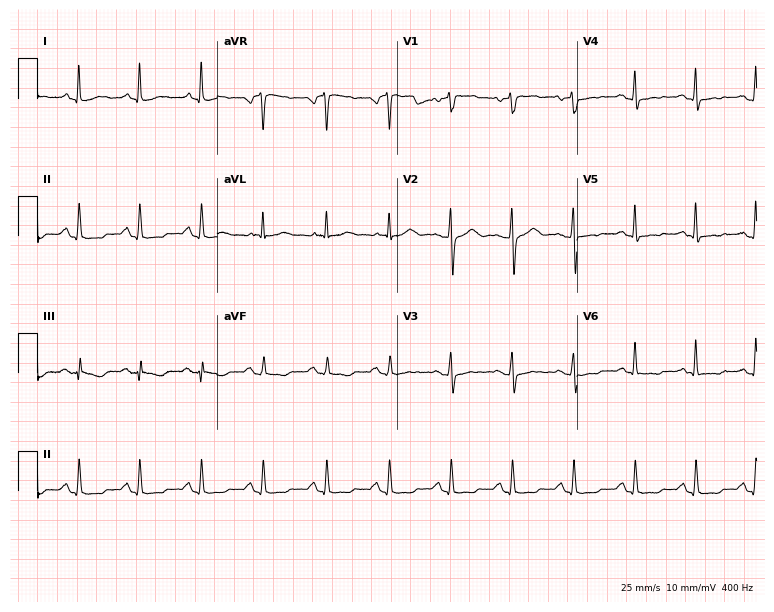
12-lead ECG from a woman, 52 years old. Screened for six findings — first-degree AV block, right bundle branch block (RBBB), left bundle branch block (LBBB), sinus bradycardia, atrial fibrillation (AF), sinus tachycardia — none is recorded.